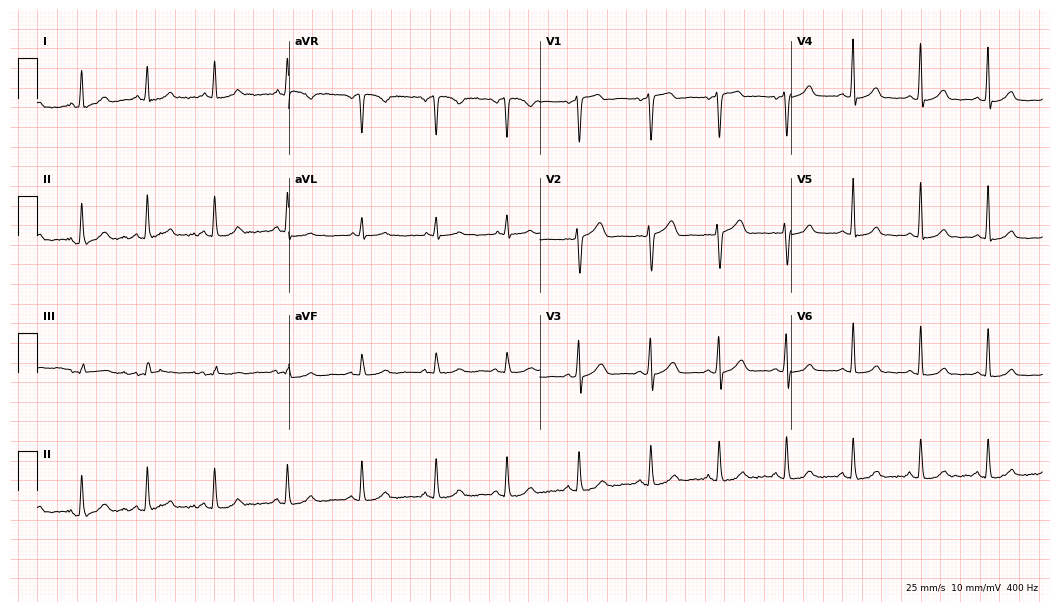
12-lead ECG from a female, 64 years old (10.2-second recording at 400 Hz). Recorded interpretation: within normal limits.